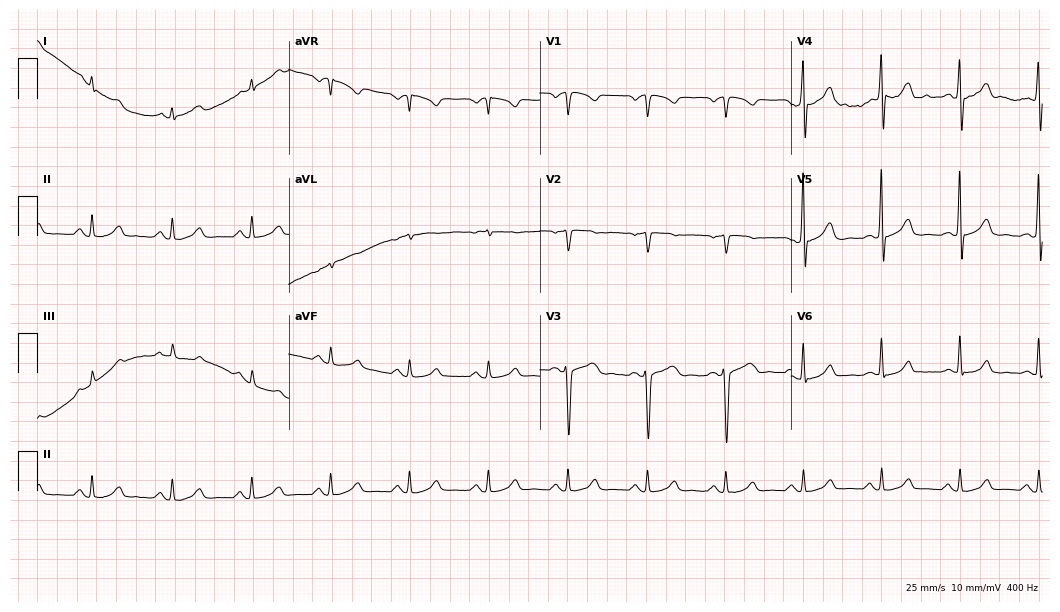
Resting 12-lead electrocardiogram. Patient: a 47-year-old male. Read as a normal ECG.